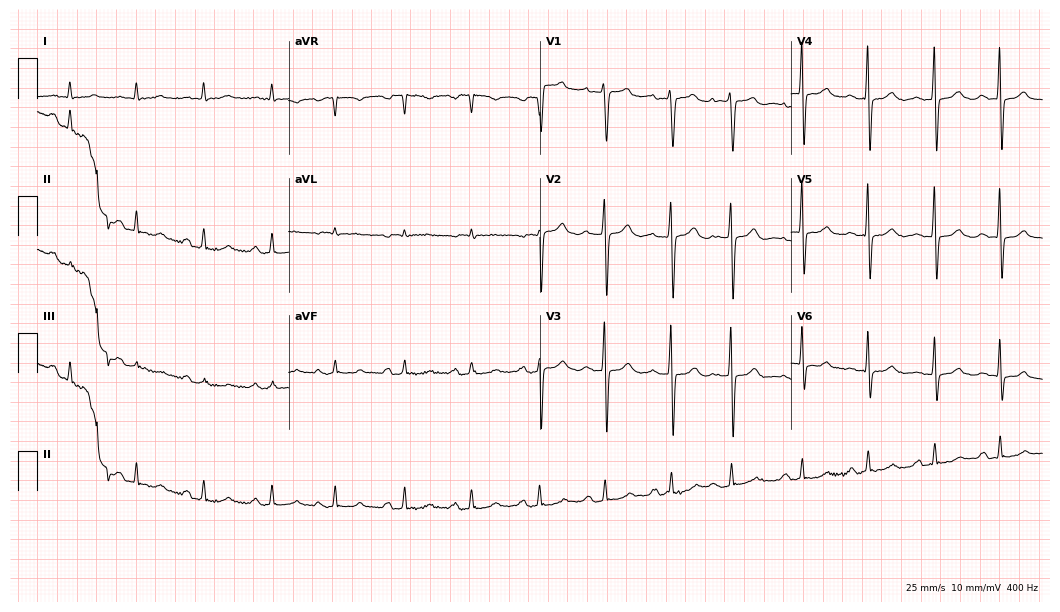
Electrocardiogram, a woman, 78 years old. Of the six screened findings (first-degree AV block, right bundle branch block, left bundle branch block, sinus bradycardia, atrial fibrillation, sinus tachycardia), none is recorded.